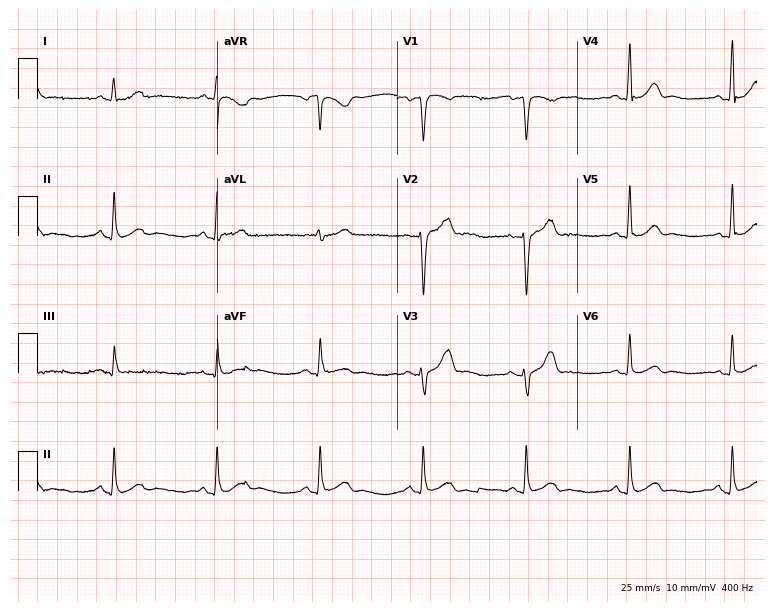
Electrocardiogram (7.3-second recording at 400 Hz), a 58-year-old male patient. Overall reading on record: normal ECG.